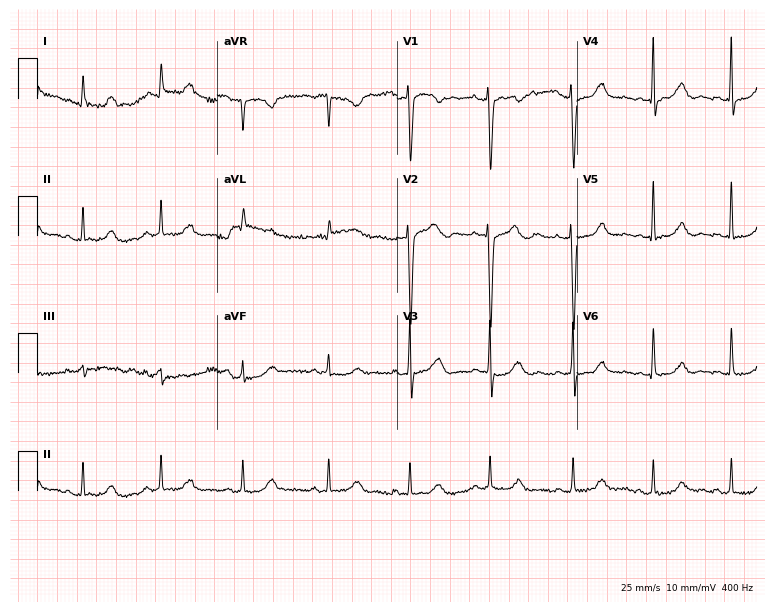
12-lead ECG from a woman, 39 years old. Labelled as a normal ECG.